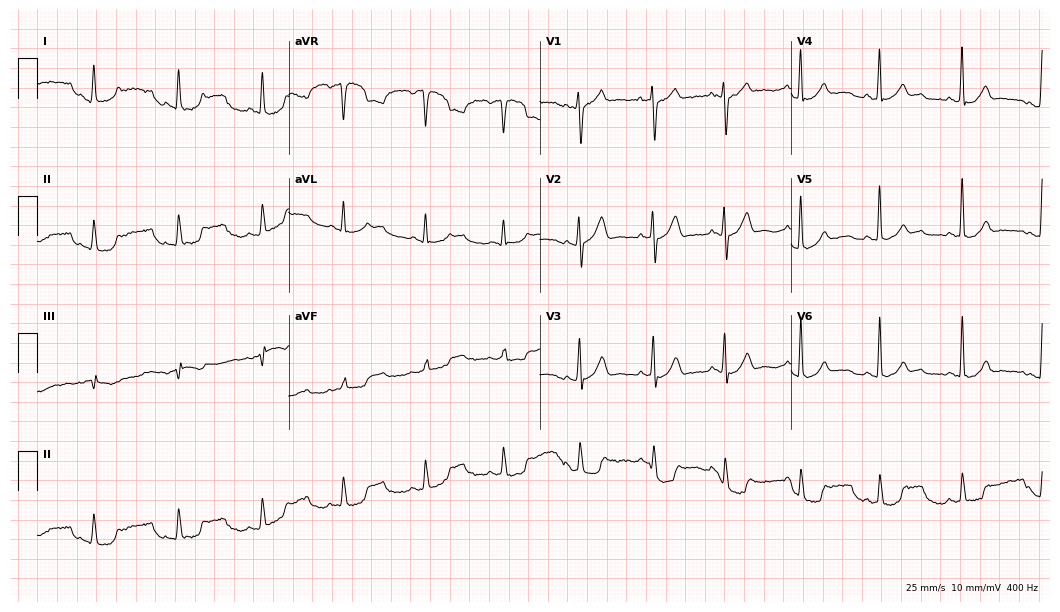
Standard 12-lead ECG recorded from a man, 43 years old. None of these six findings is recorded: first-degree AV block, right bundle branch block, left bundle branch block, sinus bradycardia, atrial fibrillation, sinus tachycardia. Only these six findings were labelled.